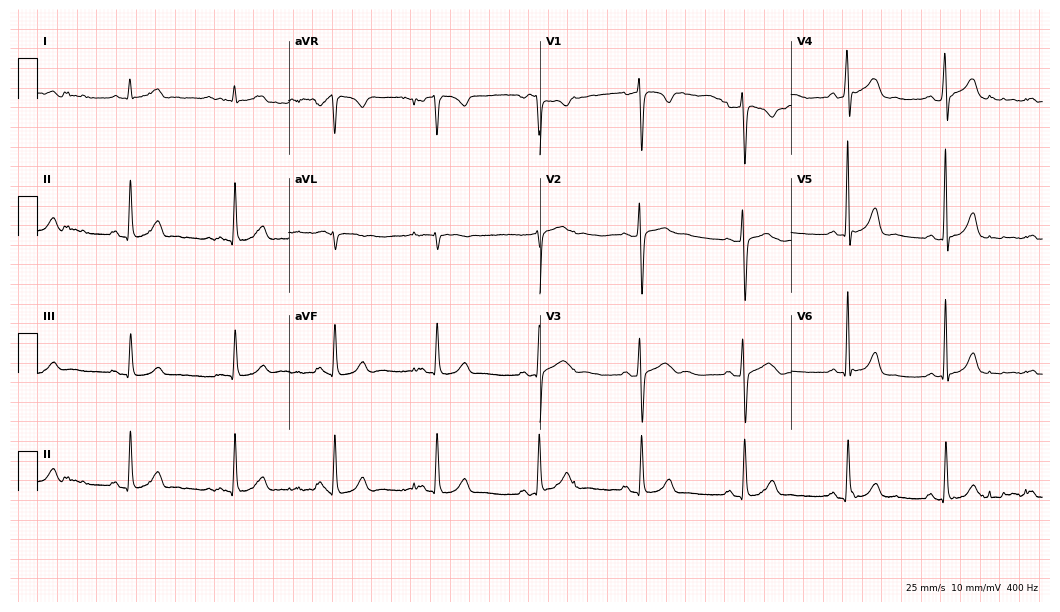
12-lead ECG (10.2-second recording at 400 Hz) from a 50-year-old female. Labelled as a normal ECG.